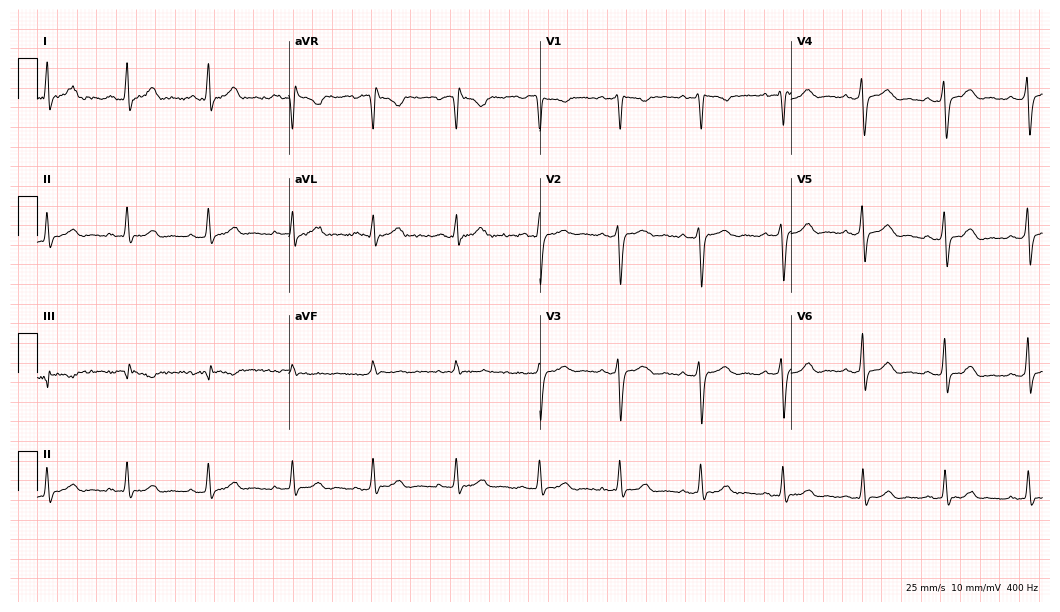
12-lead ECG (10.2-second recording at 400 Hz) from a woman, 31 years old. Screened for six findings — first-degree AV block, right bundle branch block, left bundle branch block, sinus bradycardia, atrial fibrillation, sinus tachycardia — none is recorded.